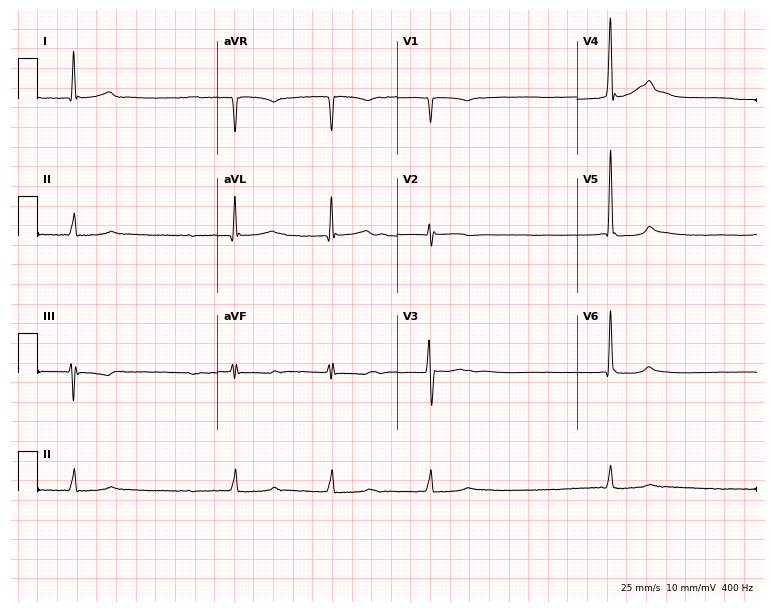
Resting 12-lead electrocardiogram. Patient: a 58-year-old male. The tracing shows sinus bradycardia (a sinus rate of 50 beats per minute or less).